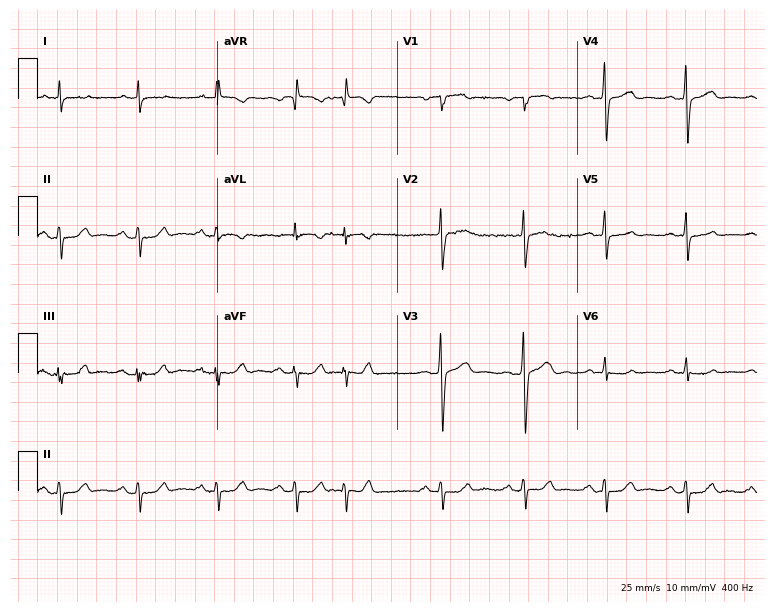
Electrocardiogram, a male, 72 years old. Of the six screened findings (first-degree AV block, right bundle branch block (RBBB), left bundle branch block (LBBB), sinus bradycardia, atrial fibrillation (AF), sinus tachycardia), none is recorded.